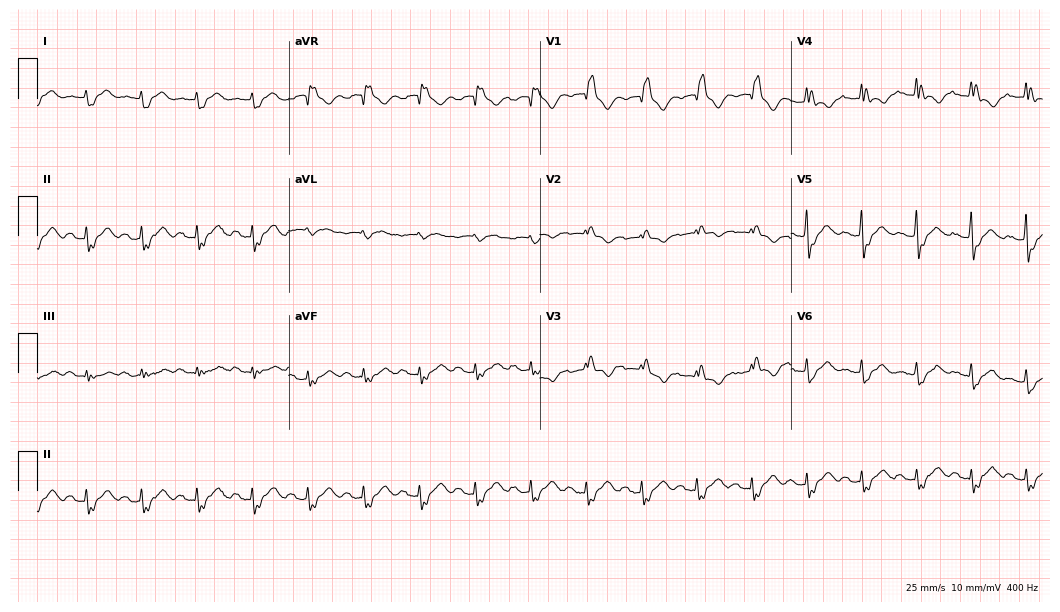
Electrocardiogram, a male patient, 68 years old. Interpretation includes right bundle branch block, sinus tachycardia (a sinus rate of 100 beats per minute or more).